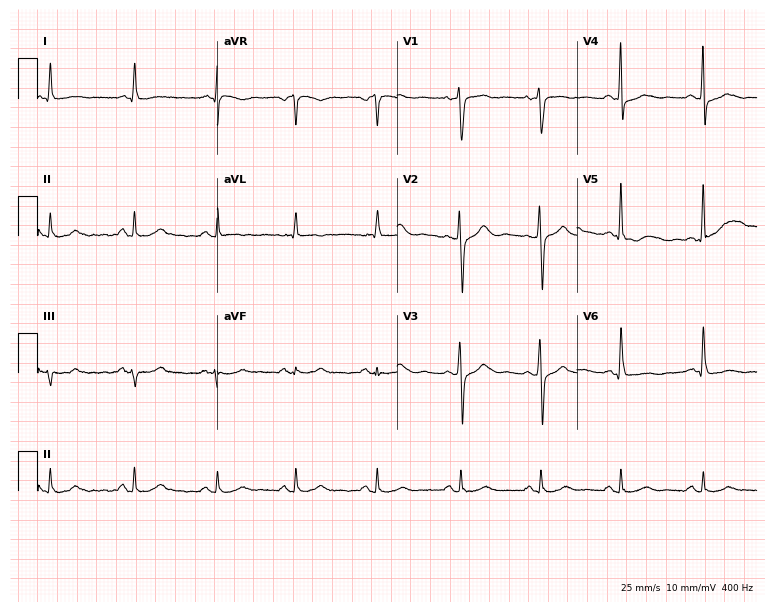
Standard 12-lead ECG recorded from a female patient, 60 years old (7.3-second recording at 400 Hz). None of these six findings is recorded: first-degree AV block, right bundle branch block, left bundle branch block, sinus bradycardia, atrial fibrillation, sinus tachycardia. Findings outside these six are not listed.